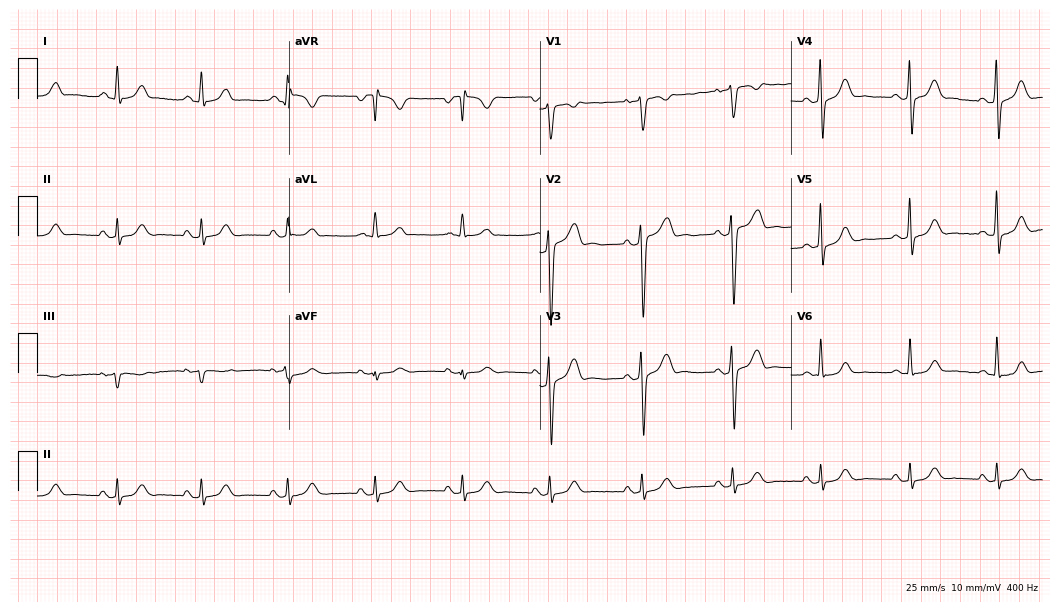
Resting 12-lead electrocardiogram (10.2-second recording at 400 Hz). Patient: a man, 28 years old. None of these six findings is recorded: first-degree AV block, right bundle branch block, left bundle branch block, sinus bradycardia, atrial fibrillation, sinus tachycardia. Only these six findings were labelled.